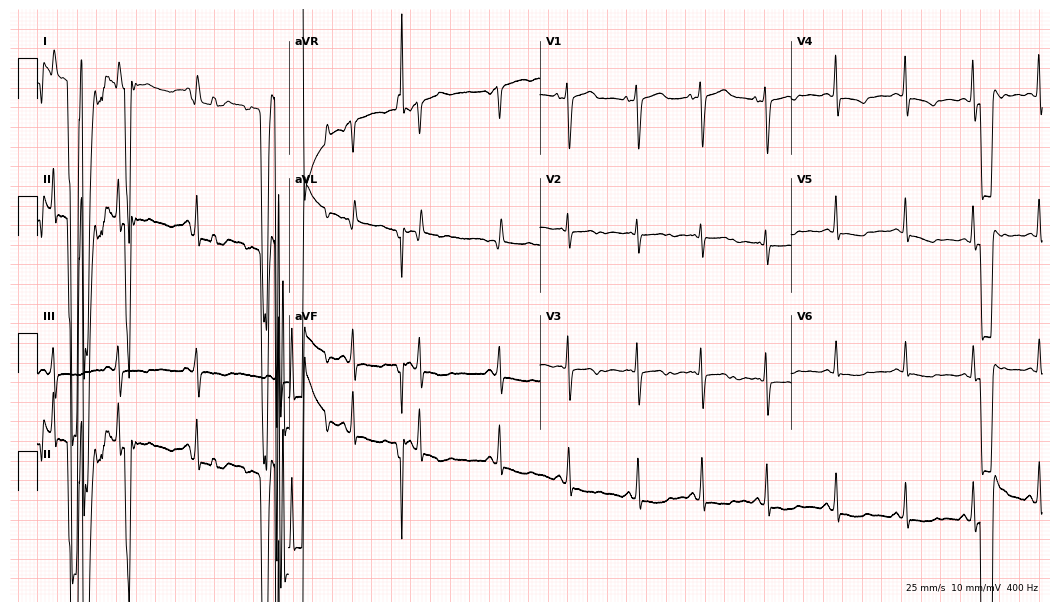
ECG (10.2-second recording at 400 Hz) — a 35-year-old woman. Screened for six findings — first-degree AV block, right bundle branch block (RBBB), left bundle branch block (LBBB), sinus bradycardia, atrial fibrillation (AF), sinus tachycardia — none is recorded.